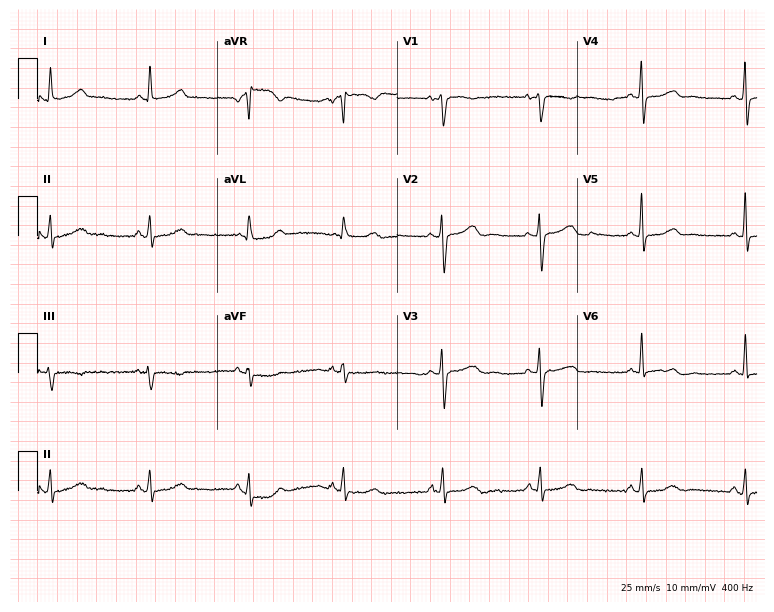
ECG — a woman, 42 years old. Labelled as a normal ECG.